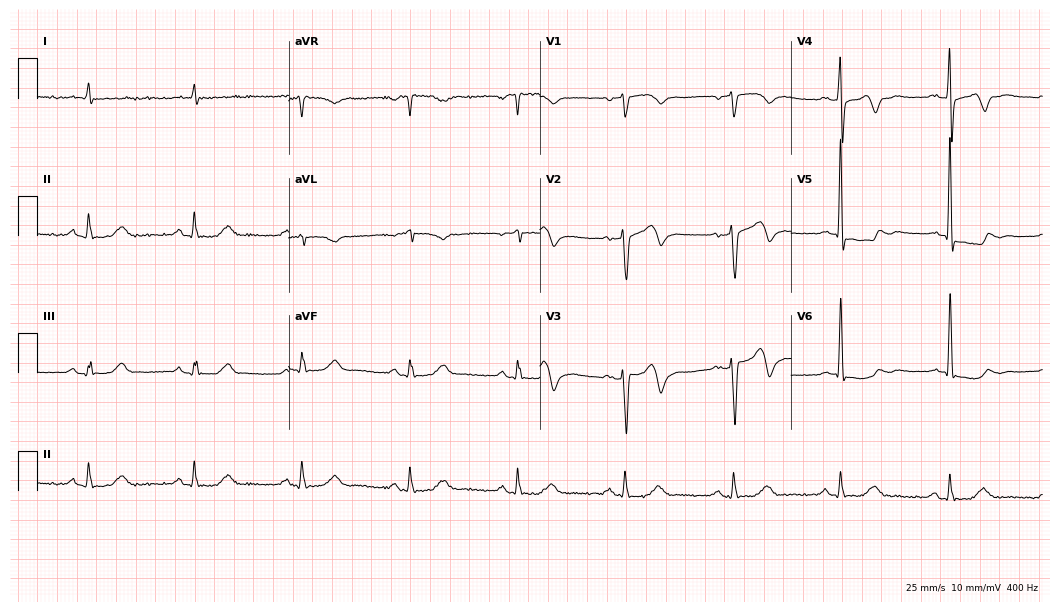
Standard 12-lead ECG recorded from a 75-year-old male. None of these six findings is recorded: first-degree AV block, right bundle branch block, left bundle branch block, sinus bradycardia, atrial fibrillation, sinus tachycardia. Findings outside these six are not listed.